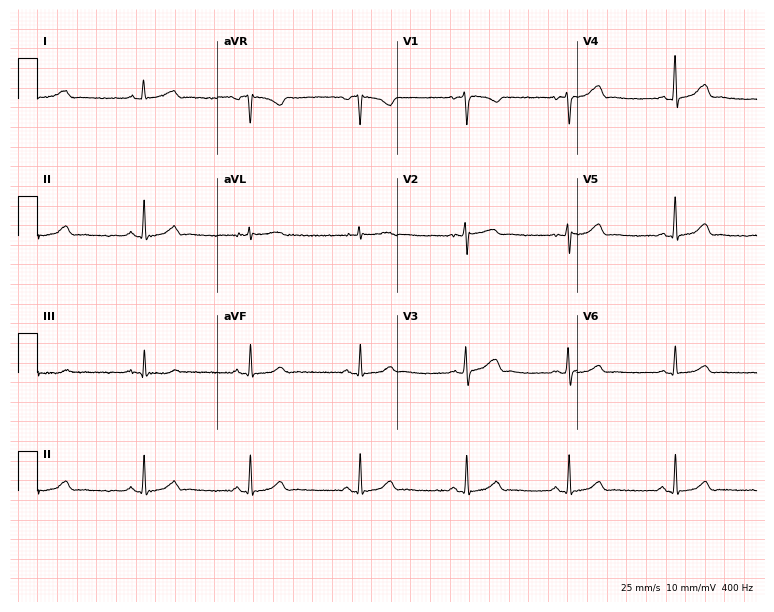
Electrocardiogram (7.3-second recording at 400 Hz), a 45-year-old woman. Overall reading on record: normal ECG.